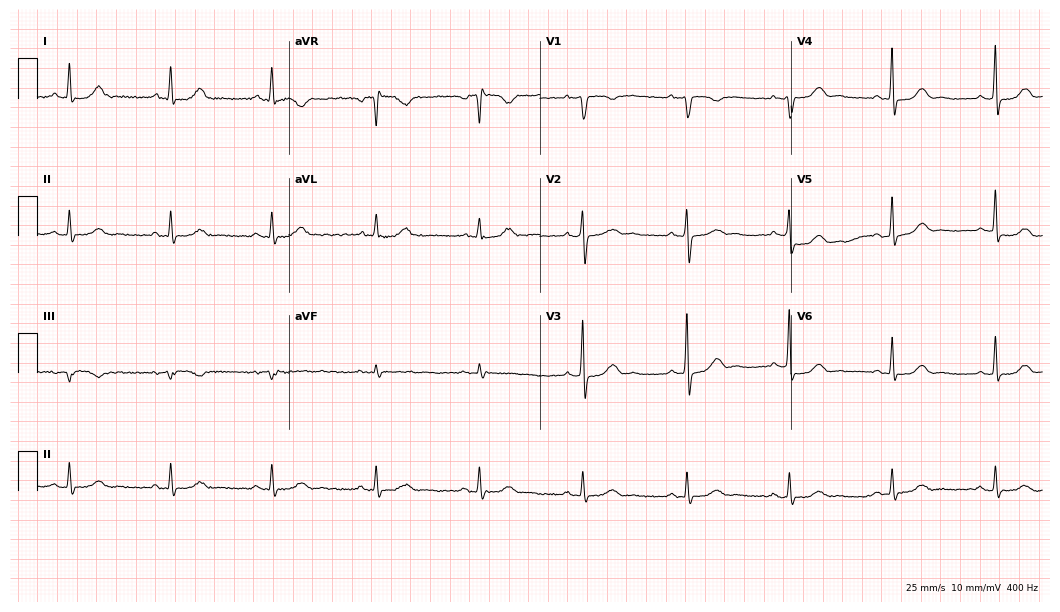
ECG — a woman, 57 years old. Labelled as a normal ECG.